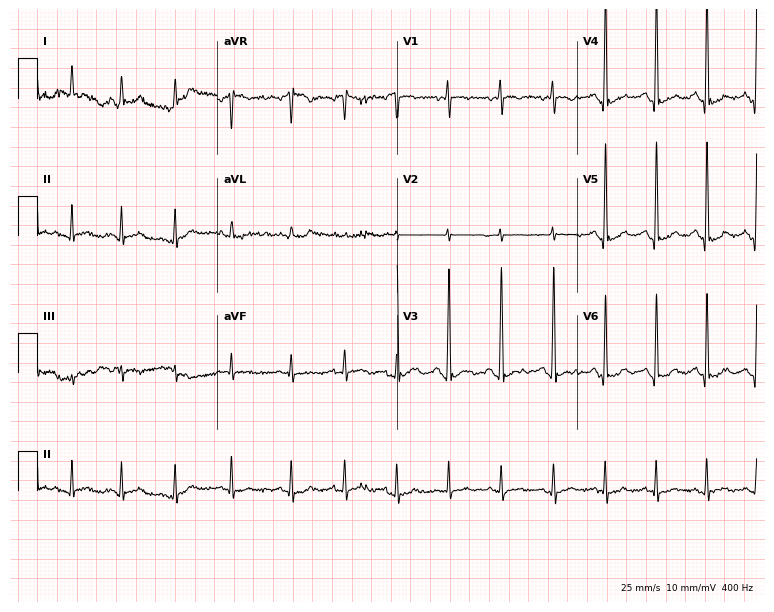
Electrocardiogram, a male, 18 years old. Of the six screened findings (first-degree AV block, right bundle branch block, left bundle branch block, sinus bradycardia, atrial fibrillation, sinus tachycardia), none is recorded.